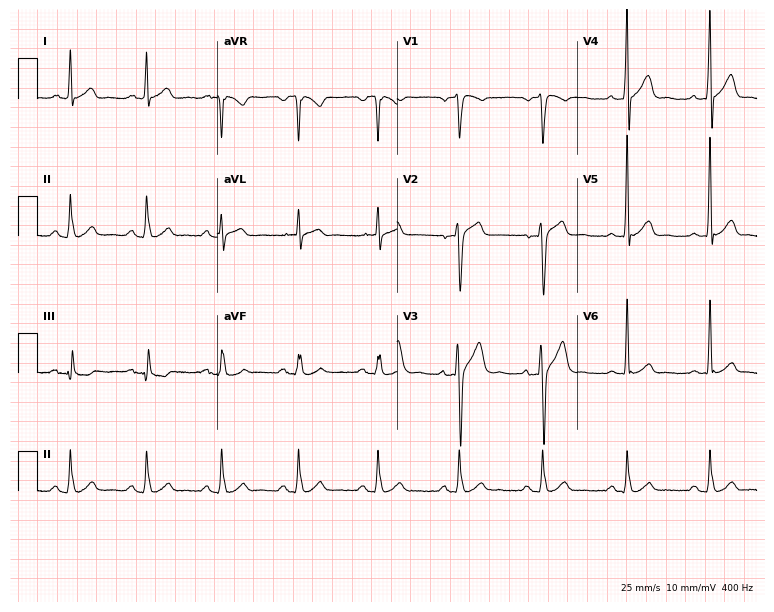
Resting 12-lead electrocardiogram. Patient: a 42-year-old male. None of these six findings is recorded: first-degree AV block, right bundle branch block (RBBB), left bundle branch block (LBBB), sinus bradycardia, atrial fibrillation (AF), sinus tachycardia.